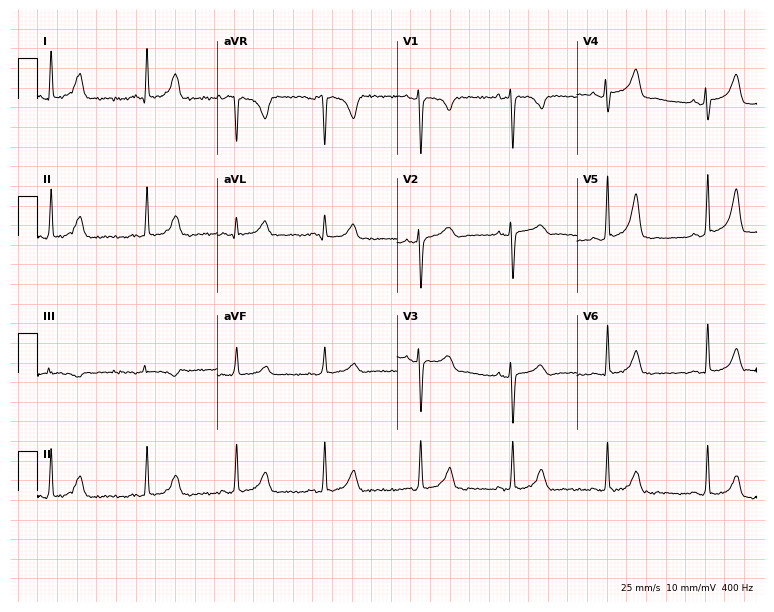
Electrocardiogram (7.3-second recording at 400 Hz), a 41-year-old woman. Of the six screened findings (first-degree AV block, right bundle branch block, left bundle branch block, sinus bradycardia, atrial fibrillation, sinus tachycardia), none is recorded.